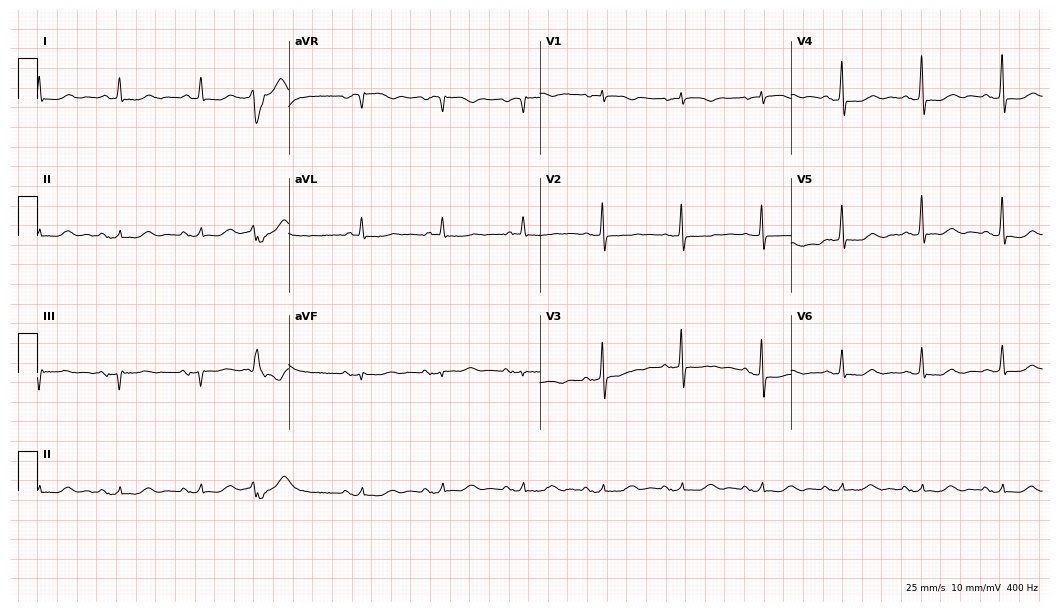
Standard 12-lead ECG recorded from a female, 79 years old (10.2-second recording at 400 Hz). None of these six findings is recorded: first-degree AV block, right bundle branch block, left bundle branch block, sinus bradycardia, atrial fibrillation, sinus tachycardia.